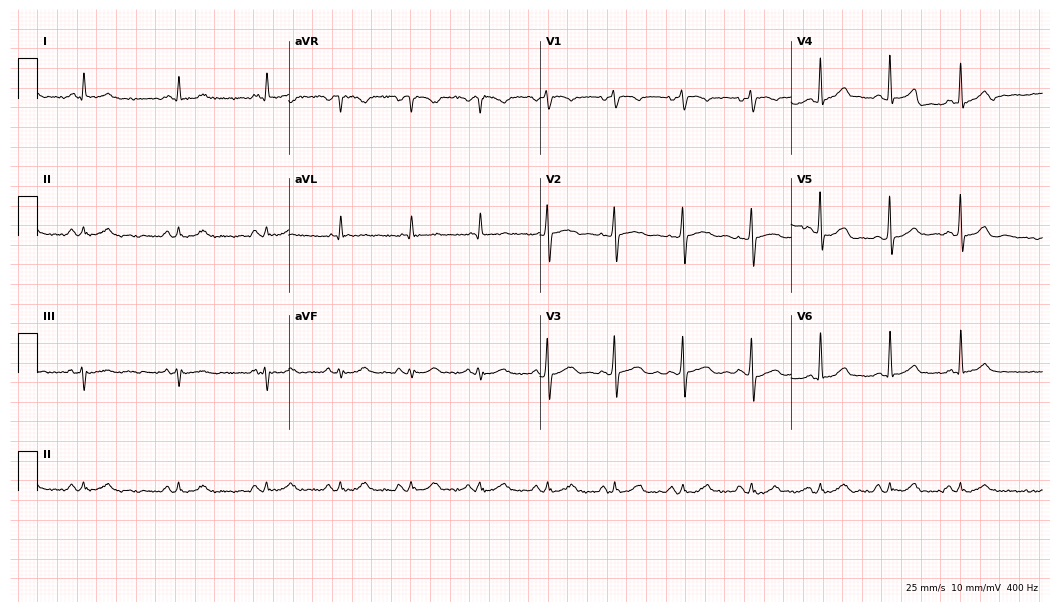
12-lead ECG from a man, 75 years old (10.2-second recording at 400 Hz). Recorded interpretation: within normal limits.